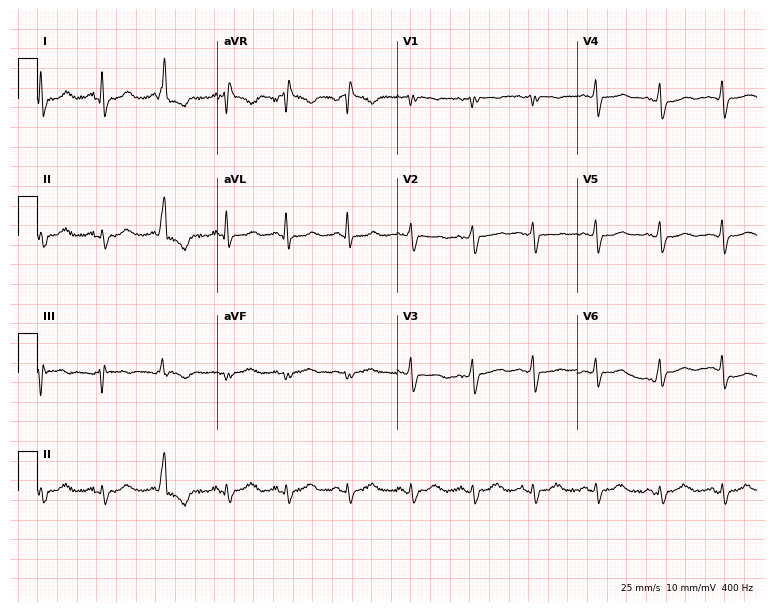
12-lead ECG from a 37-year-old woman. Screened for six findings — first-degree AV block, right bundle branch block (RBBB), left bundle branch block (LBBB), sinus bradycardia, atrial fibrillation (AF), sinus tachycardia — none is recorded. Other findings, if any, are not listed.